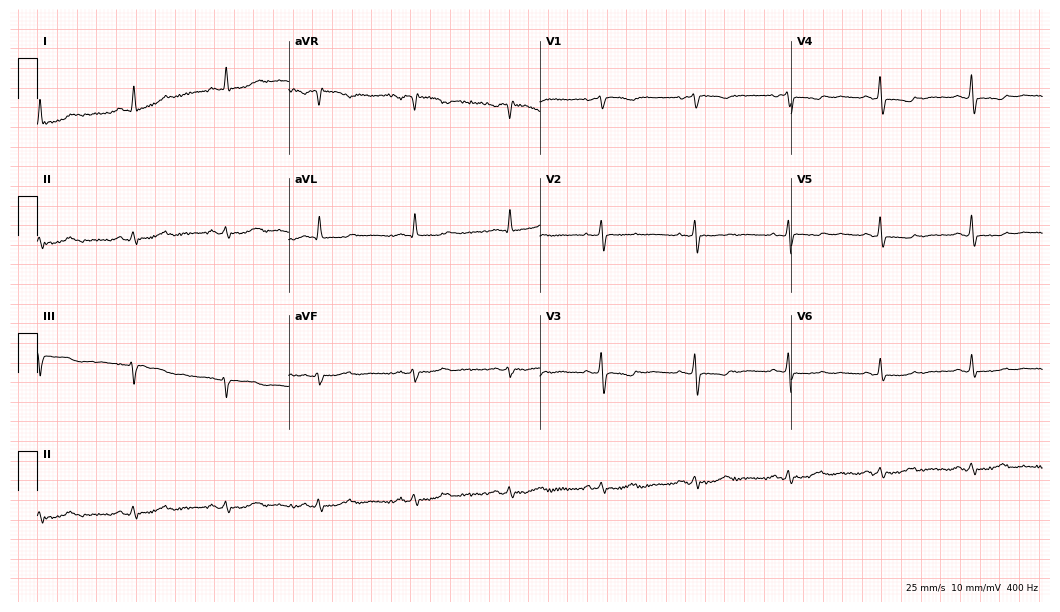
12-lead ECG (10.2-second recording at 400 Hz) from a 60-year-old woman. Screened for six findings — first-degree AV block, right bundle branch block, left bundle branch block, sinus bradycardia, atrial fibrillation, sinus tachycardia — none is recorded.